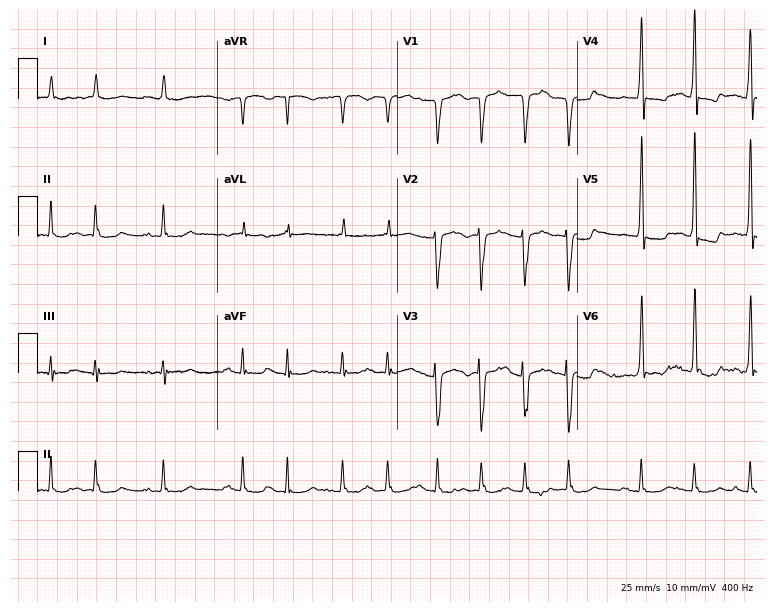
ECG — a 77-year-old man. Screened for six findings — first-degree AV block, right bundle branch block, left bundle branch block, sinus bradycardia, atrial fibrillation, sinus tachycardia — none is recorded.